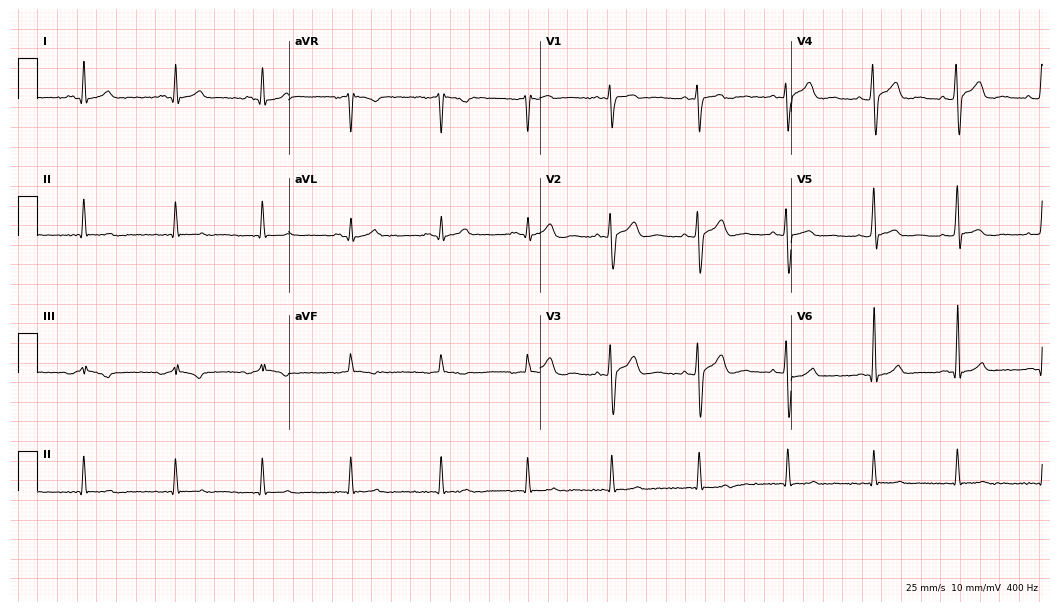
12-lead ECG from a female, 25 years old. Screened for six findings — first-degree AV block, right bundle branch block, left bundle branch block, sinus bradycardia, atrial fibrillation, sinus tachycardia — none is recorded.